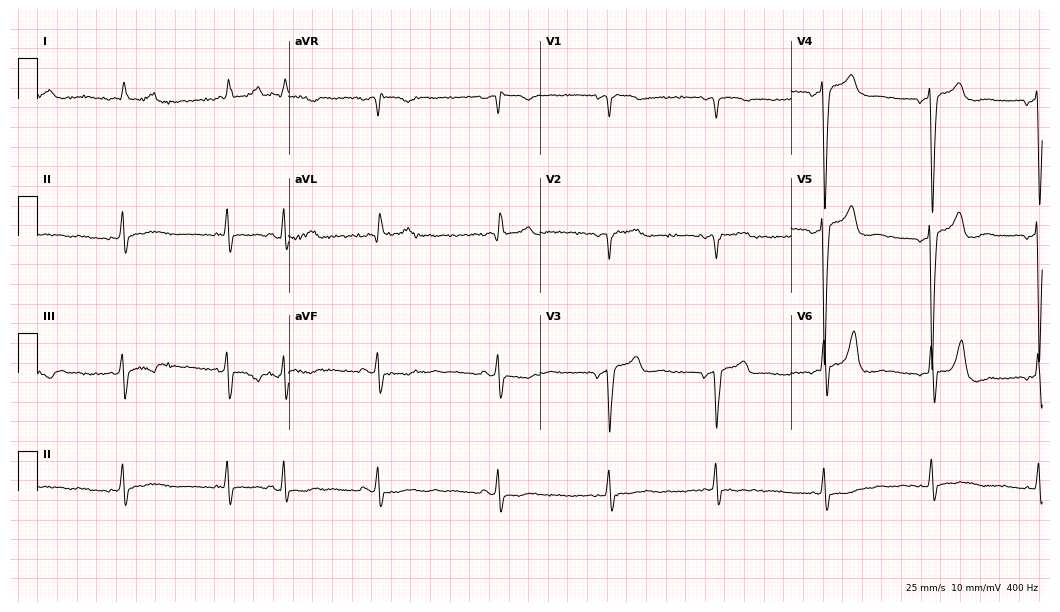
12-lead ECG (10.2-second recording at 400 Hz) from a man, 72 years old. Screened for six findings — first-degree AV block, right bundle branch block (RBBB), left bundle branch block (LBBB), sinus bradycardia, atrial fibrillation (AF), sinus tachycardia — none is recorded. Other findings, if any, are not listed.